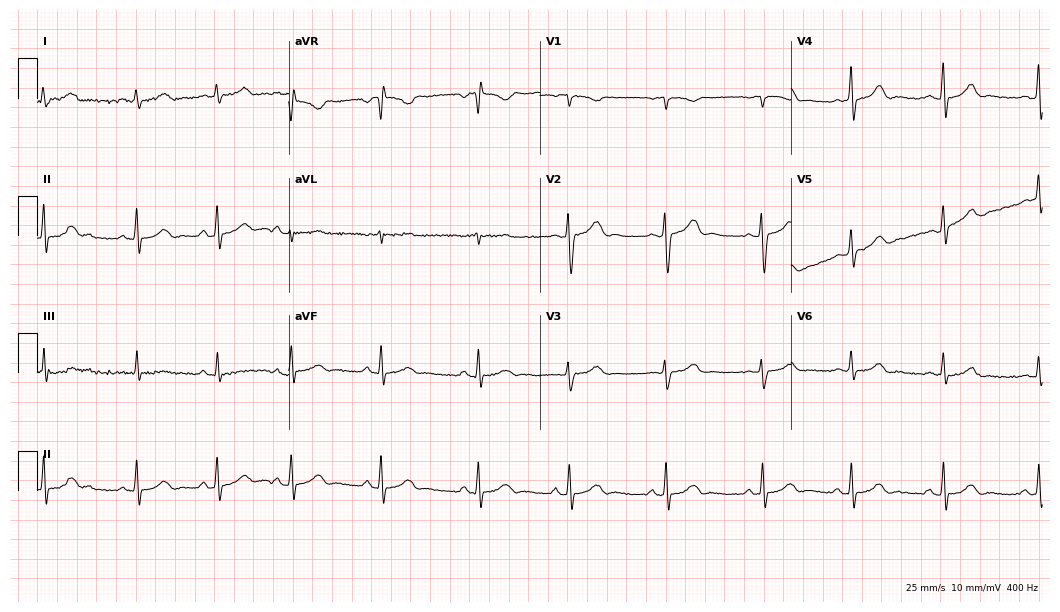
Standard 12-lead ECG recorded from a 24-year-old female patient (10.2-second recording at 400 Hz). Read as a normal ECG.